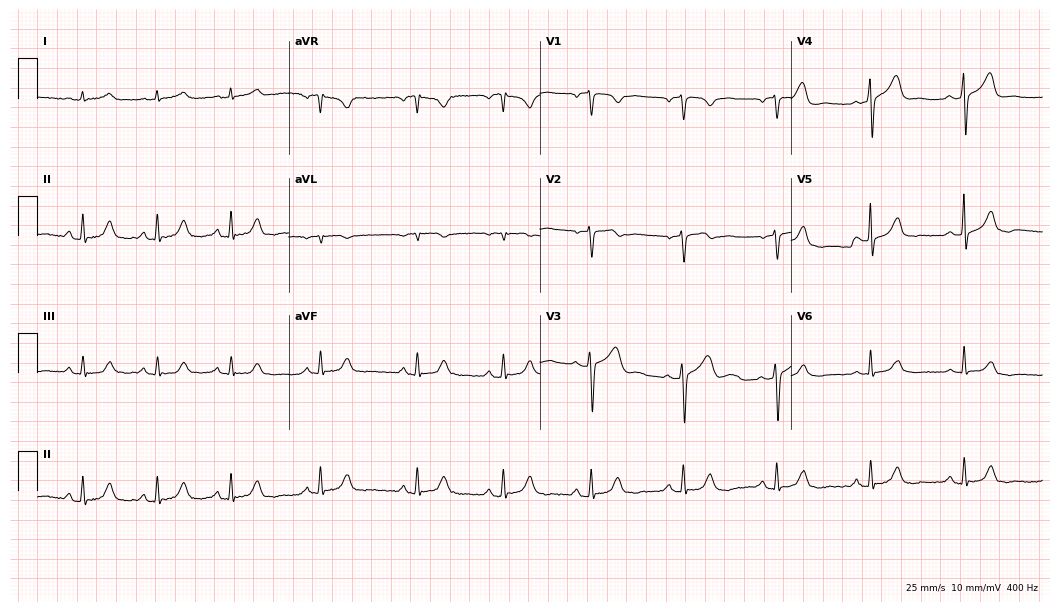
Resting 12-lead electrocardiogram. Patient: a male, 81 years old. Read as a normal ECG.